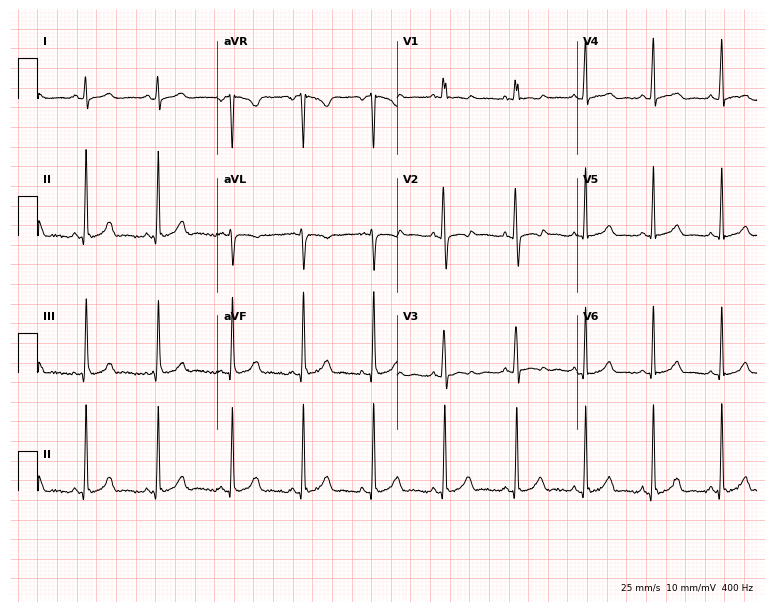
Resting 12-lead electrocardiogram (7.3-second recording at 400 Hz). Patient: a 17-year-old woman. None of these six findings is recorded: first-degree AV block, right bundle branch block, left bundle branch block, sinus bradycardia, atrial fibrillation, sinus tachycardia.